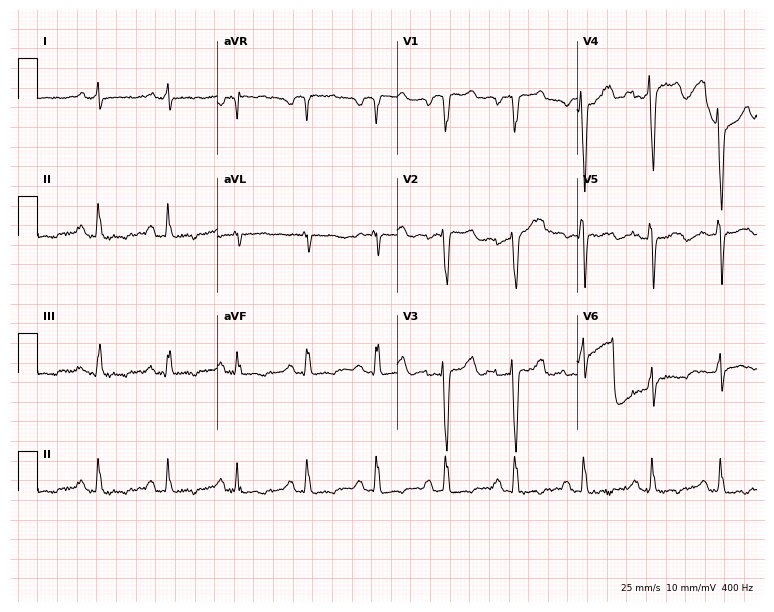
ECG (7.3-second recording at 400 Hz) — a male patient, 34 years old. Screened for six findings — first-degree AV block, right bundle branch block (RBBB), left bundle branch block (LBBB), sinus bradycardia, atrial fibrillation (AF), sinus tachycardia — none is recorded.